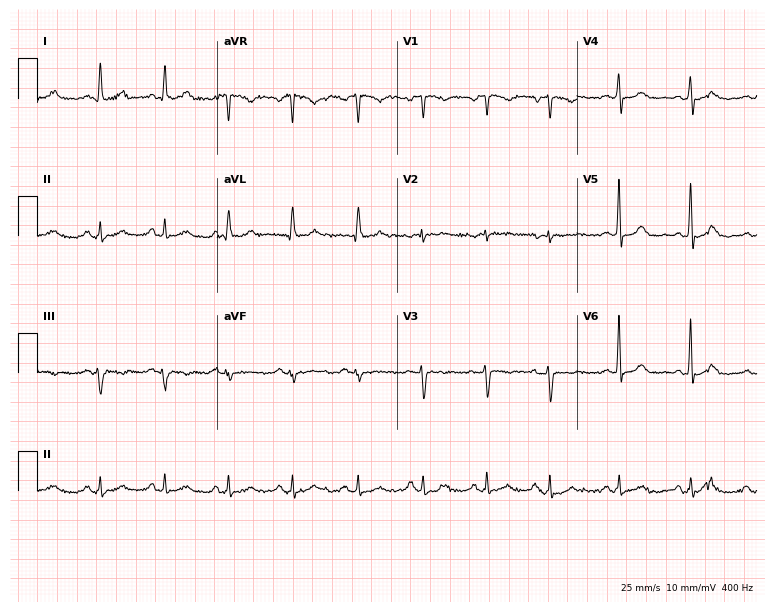
Electrocardiogram (7.3-second recording at 400 Hz), a female, 48 years old. Overall reading on record: normal ECG.